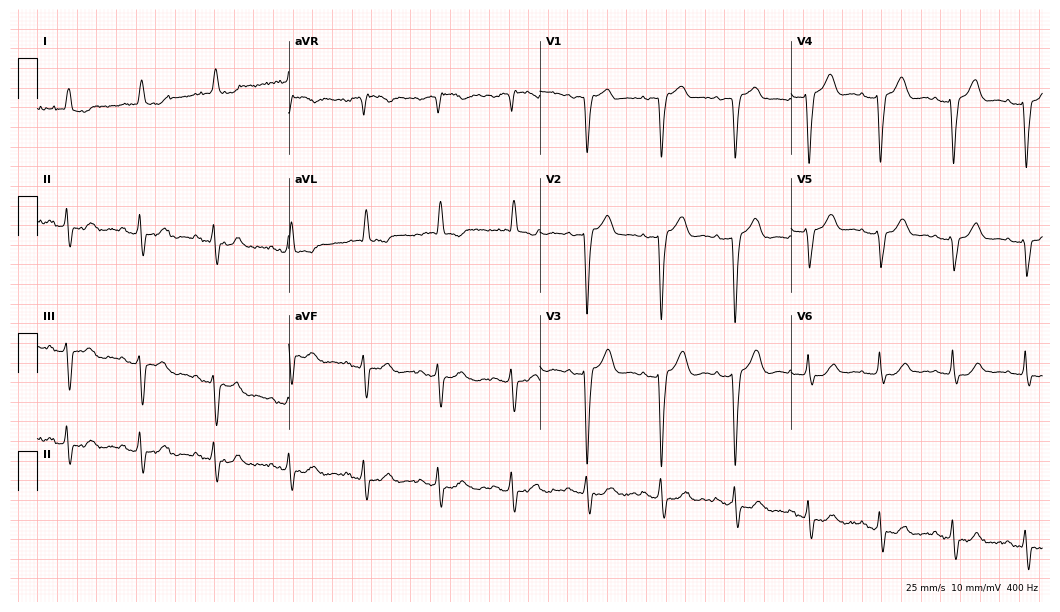
12-lead ECG from an 84-year-old male (10.2-second recording at 400 Hz). No first-degree AV block, right bundle branch block (RBBB), left bundle branch block (LBBB), sinus bradycardia, atrial fibrillation (AF) or sinus tachycardia recorded for this tracing.